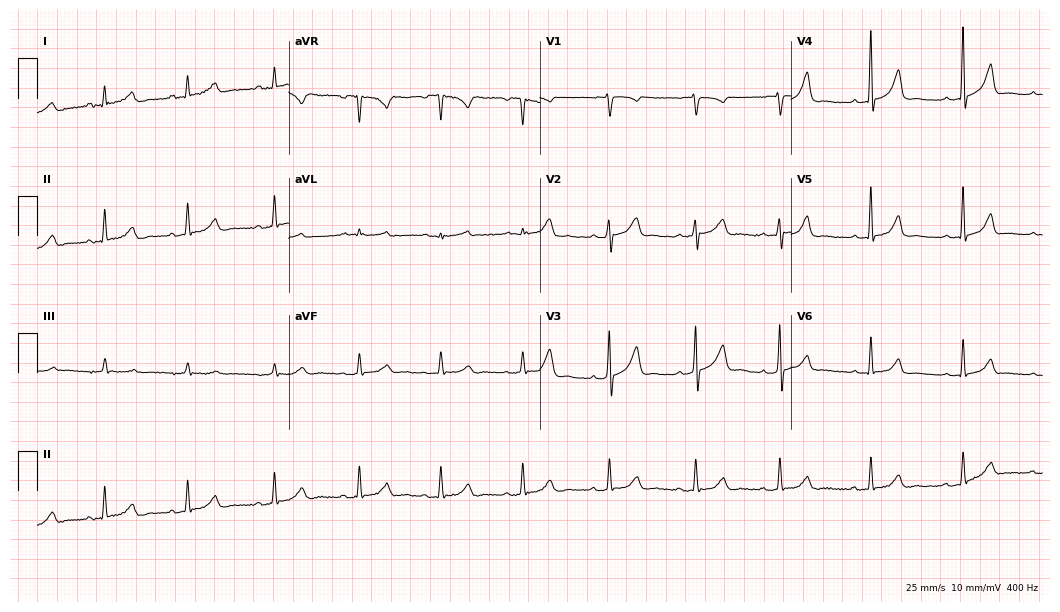
ECG — a 36-year-old woman. Screened for six findings — first-degree AV block, right bundle branch block (RBBB), left bundle branch block (LBBB), sinus bradycardia, atrial fibrillation (AF), sinus tachycardia — none is recorded.